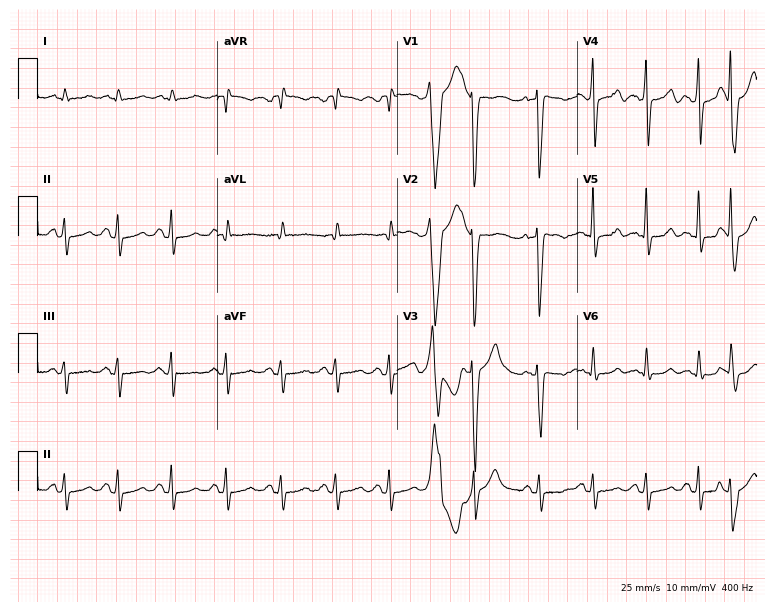
Standard 12-lead ECG recorded from a male patient, 56 years old. None of these six findings is recorded: first-degree AV block, right bundle branch block, left bundle branch block, sinus bradycardia, atrial fibrillation, sinus tachycardia. Other findings, if any, are not listed.